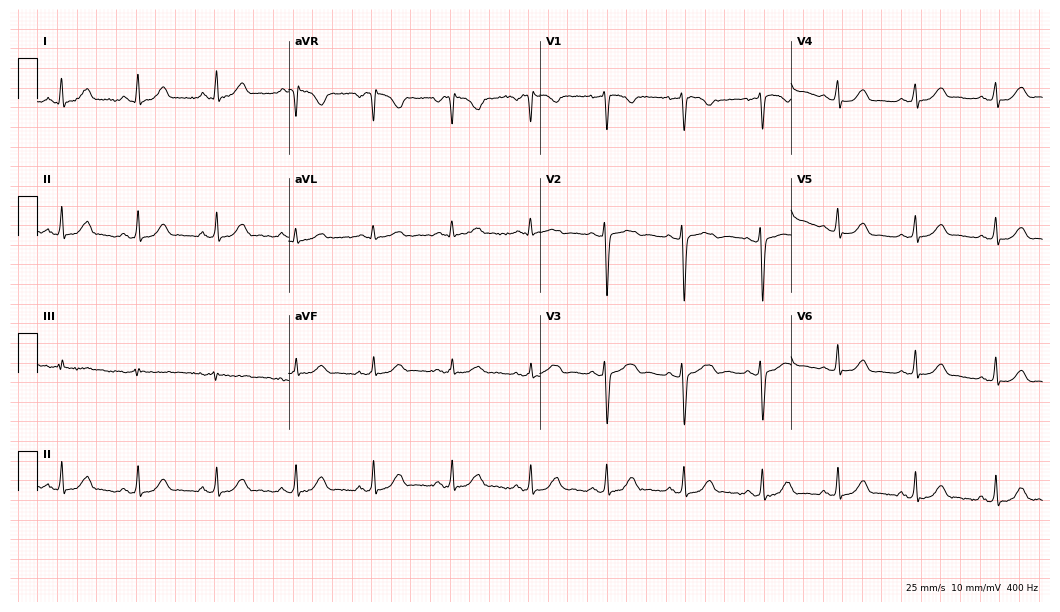
Resting 12-lead electrocardiogram. Patient: a woman, 22 years old. Read as a normal ECG.